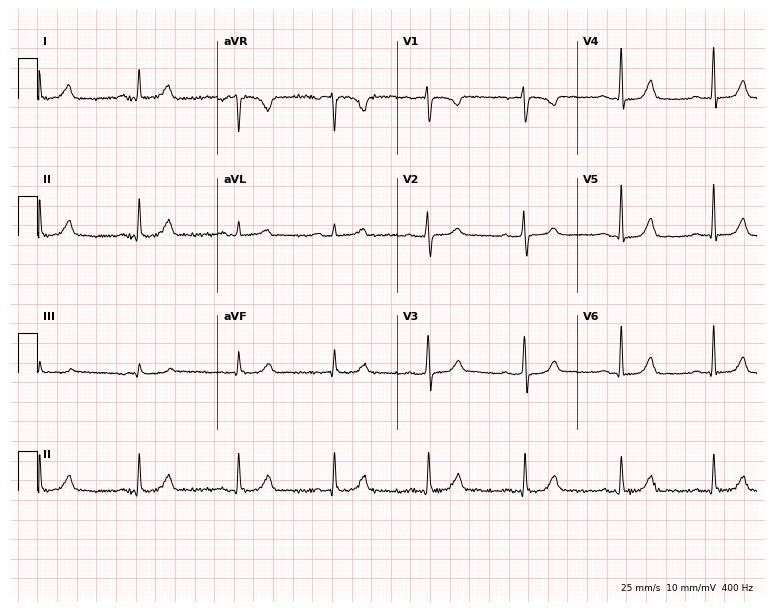
12-lead ECG (7.3-second recording at 400 Hz) from a 37-year-old woman. Labelled as a normal ECG.